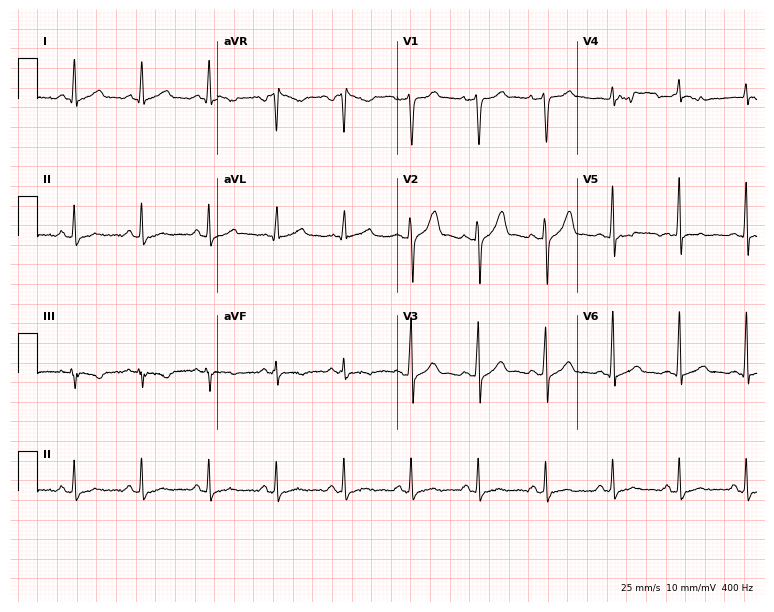
Resting 12-lead electrocardiogram (7.3-second recording at 400 Hz). Patient: a 48-year-old man. Read as a normal ECG.